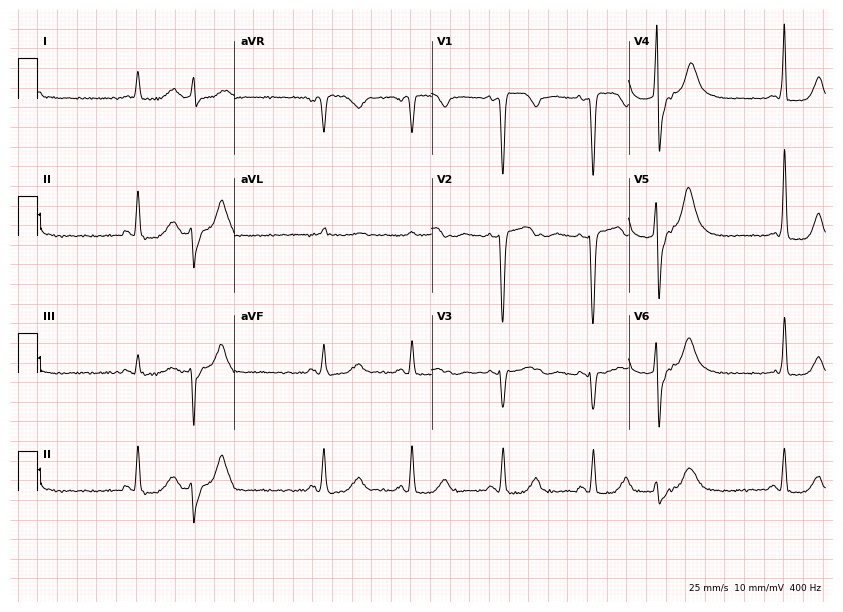
12-lead ECG from a female, 56 years old. No first-degree AV block, right bundle branch block, left bundle branch block, sinus bradycardia, atrial fibrillation or sinus tachycardia recorded for this tracing. Only these six findings were labelled.